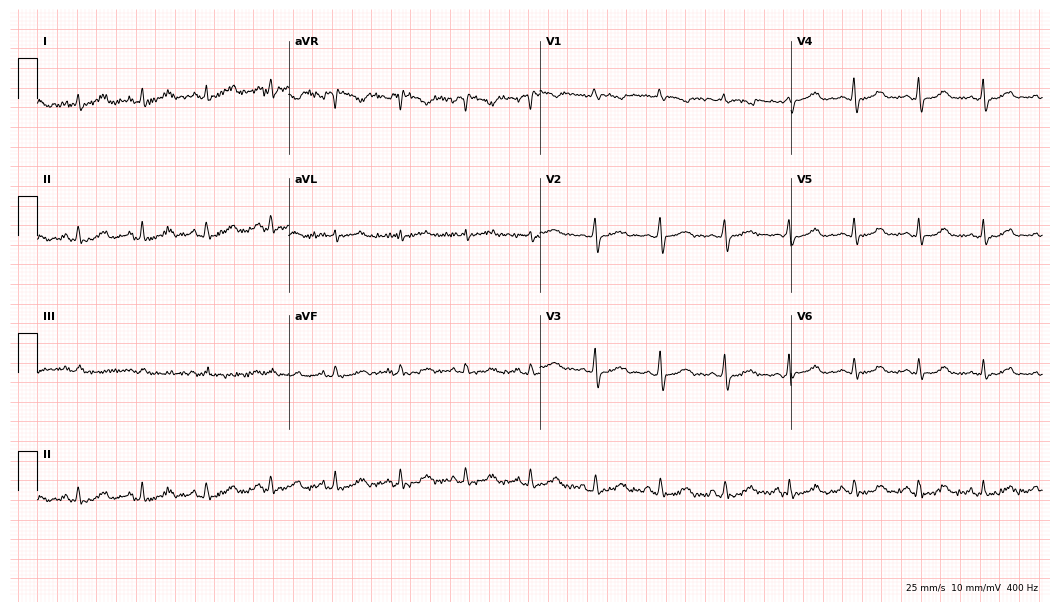
Standard 12-lead ECG recorded from a 58-year-old female patient (10.2-second recording at 400 Hz). Read as a normal ECG.